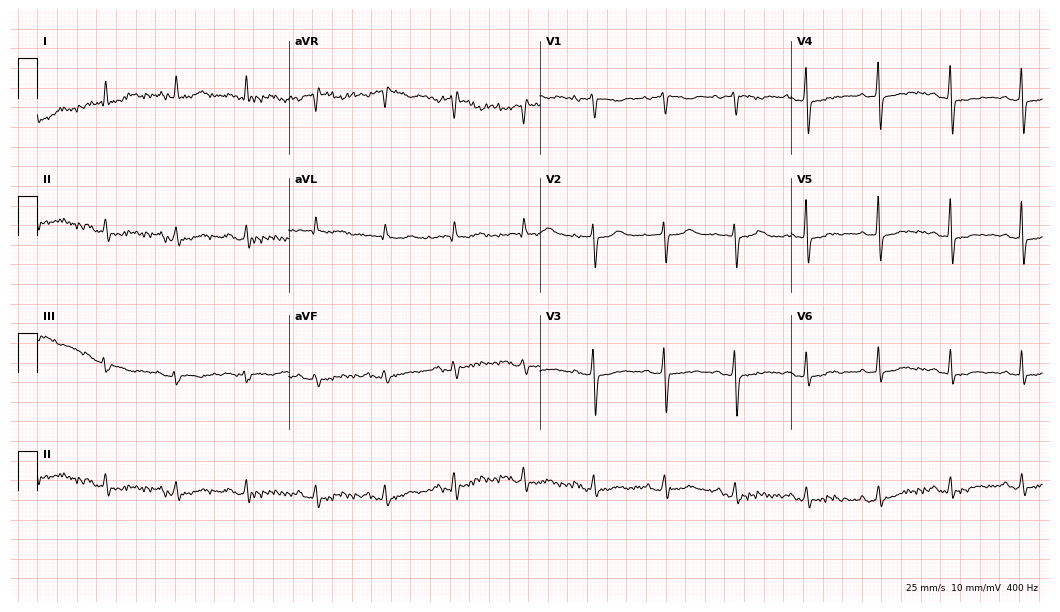
12-lead ECG from a 61-year-old woman. Screened for six findings — first-degree AV block, right bundle branch block, left bundle branch block, sinus bradycardia, atrial fibrillation, sinus tachycardia — none is recorded. Findings outside these six are not listed.